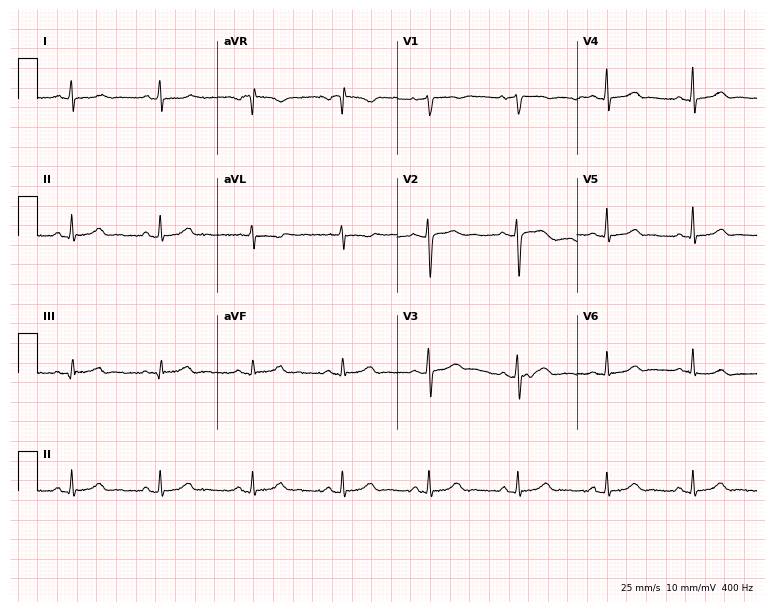
Standard 12-lead ECG recorded from a female, 32 years old (7.3-second recording at 400 Hz). Read as a normal ECG.